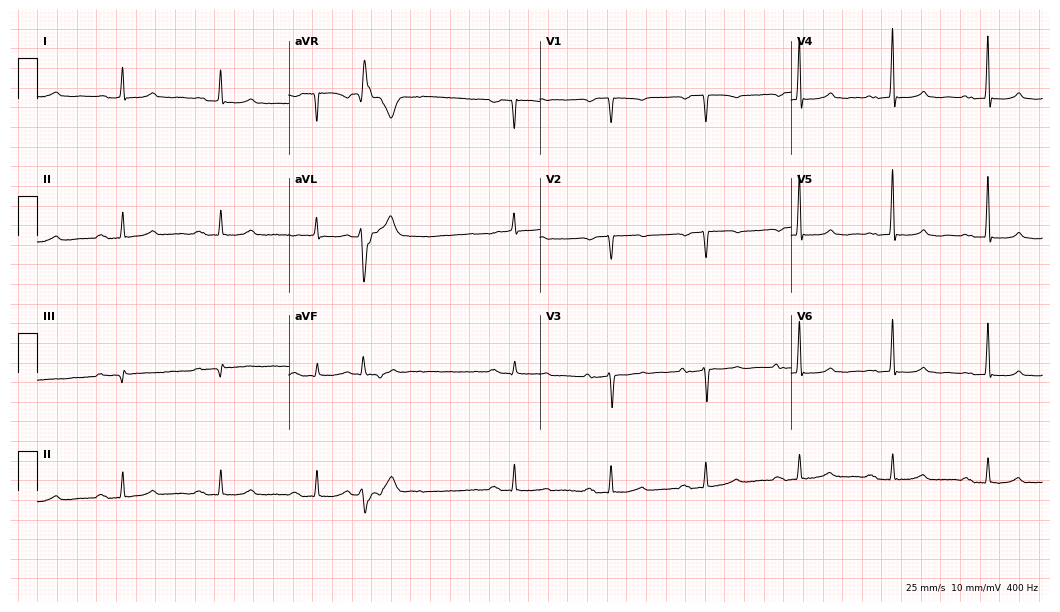
12-lead ECG from a 75-year-old woman. No first-degree AV block, right bundle branch block, left bundle branch block, sinus bradycardia, atrial fibrillation or sinus tachycardia recorded for this tracing.